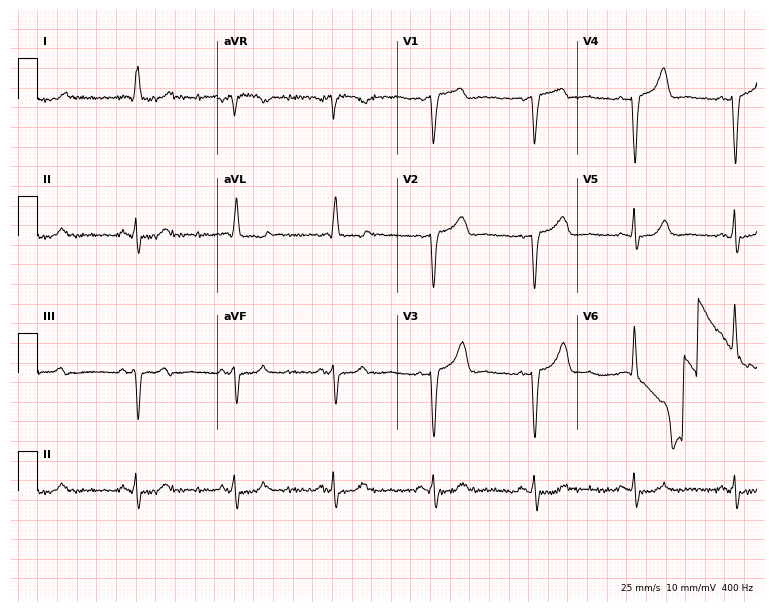
12-lead ECG from a 73-year-old male. No first-degree AV block, right bundle branch block, left bundle branch block, sinus bradycardia, atrial fibrillation or sinus tachycardia recorded for this tracing.